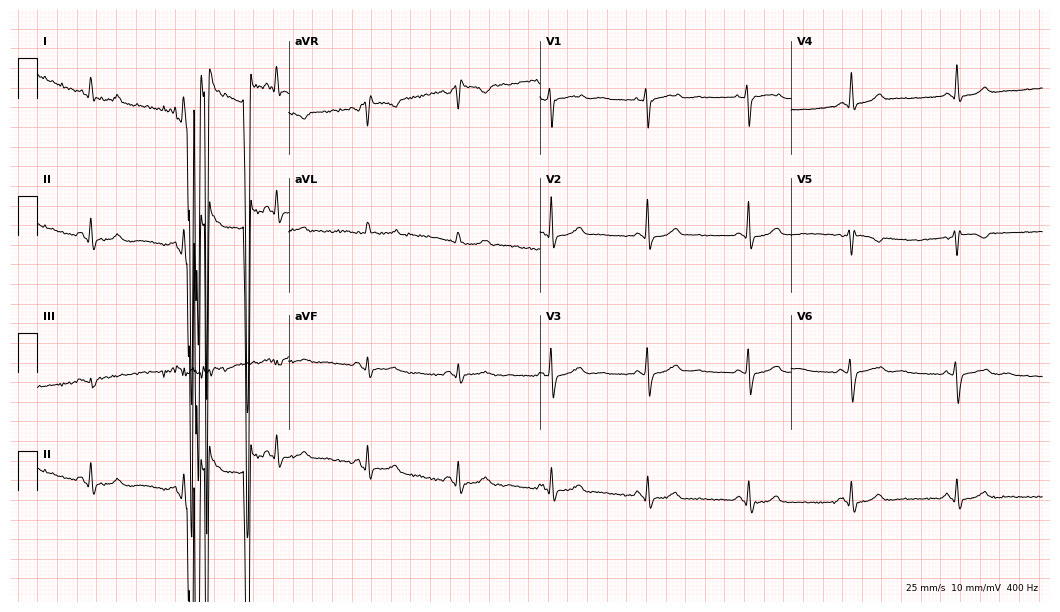
Electrocardiogram (10.2-second recording at 400 Hz), a woman, 51 years old. Of the six screened findings (first-degree AV block, right bundle branch block, left bundle branch block, sinus bradycardia, atrial fibrillation, sinus tachycardia), none is recorded.